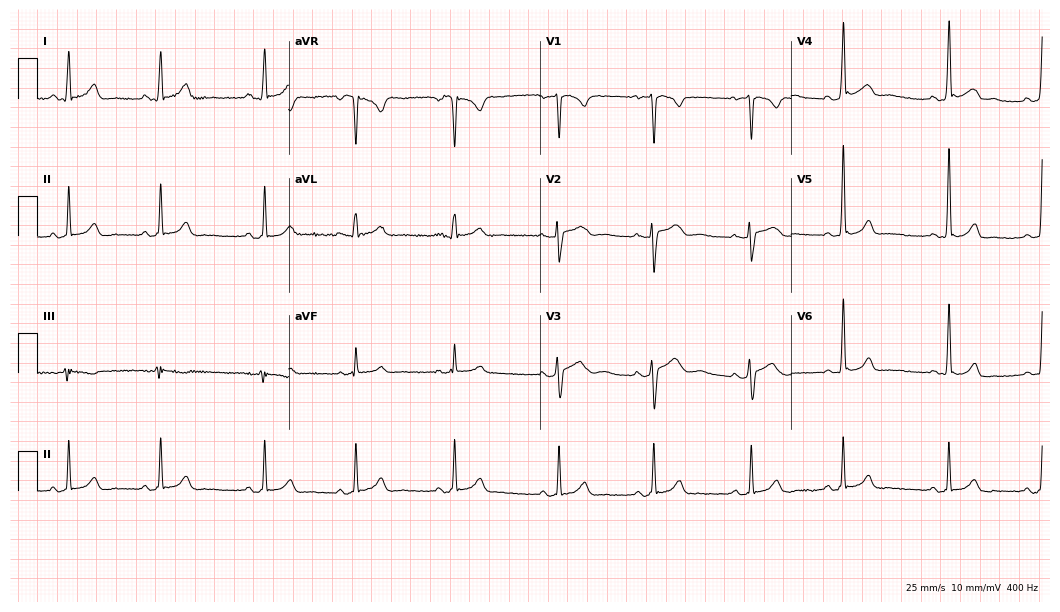
12-lead ECG from a 19-year-old woman. No first-degree AV block, right bundle branch block, left bundle branch block, sinus bradycardia, atrial fibrillation or sinus tachycardia recorded for this tracing.